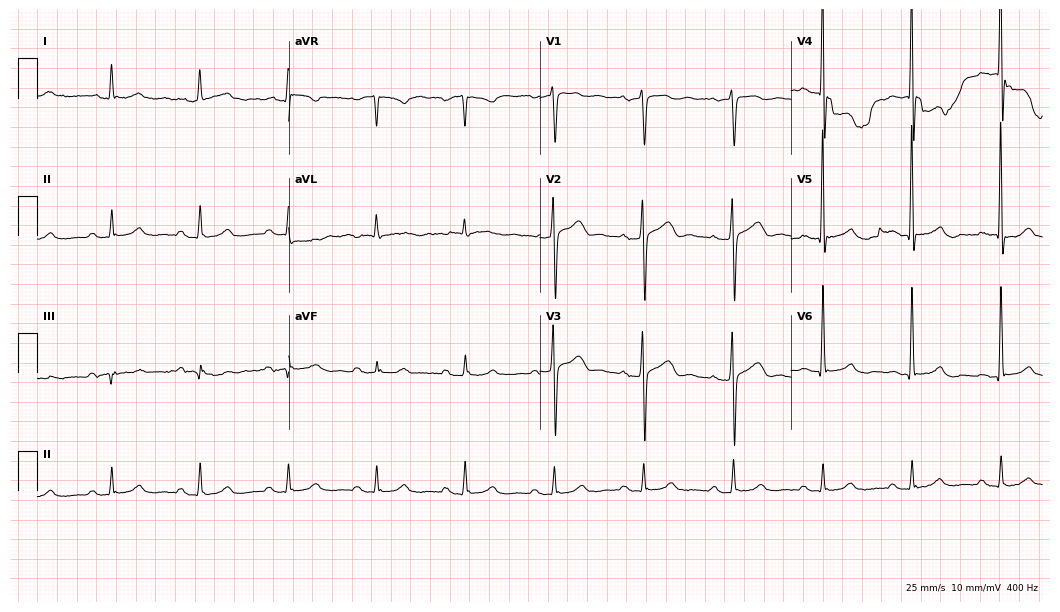
ECG (10.2-second recording at 400 Hz) — a male patient, 75 years old. Labelled as a normal ECG.